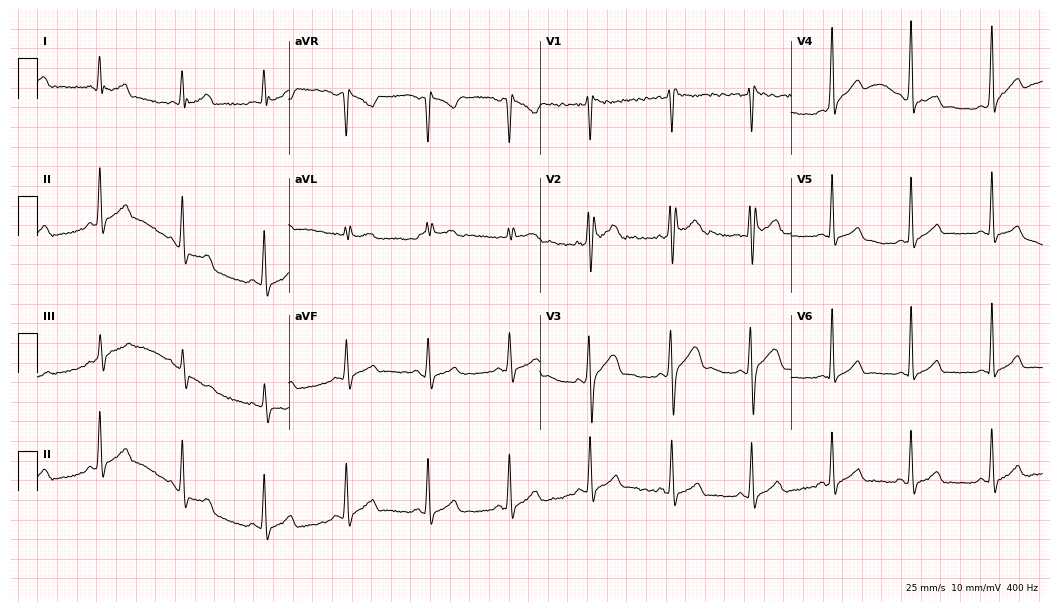
12-lead ECG (10.2-second recording at 400 Hz) from a 23-year-old male. Screened for six findings — first-degree AV block, right bundle branch block, left bundle branch block, sinus bradycardia, atrial fibrillation, sinus tachycardia — none is recorded. Other findings, if any, are not listed.